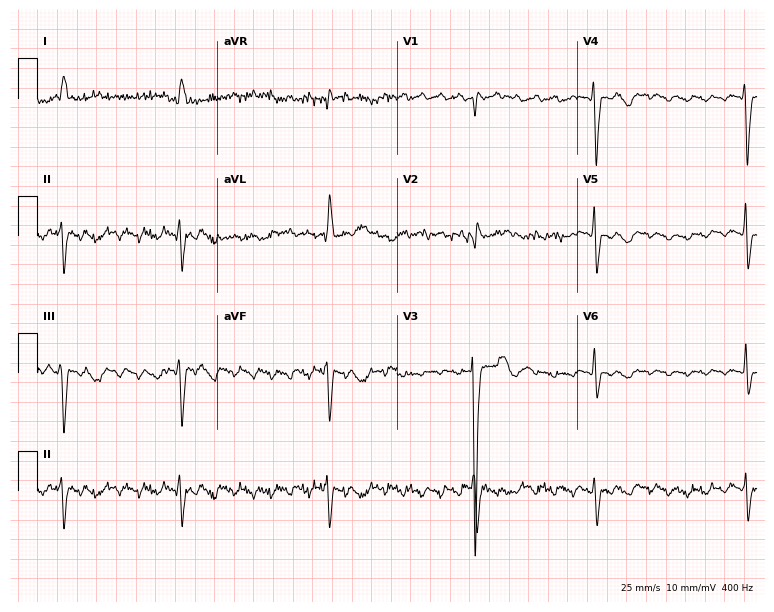
12-lead ECG from a man, 77 years old (7.3-second recording at 400 Hz). No first-degree AV block, right bundle branch block (RBBB), left bundle branch block (LBBB), sinus bradycardia, atrial fibrillation (AF) or sinus tachycardia recorded for this tracing. Only these six findings were labelled.